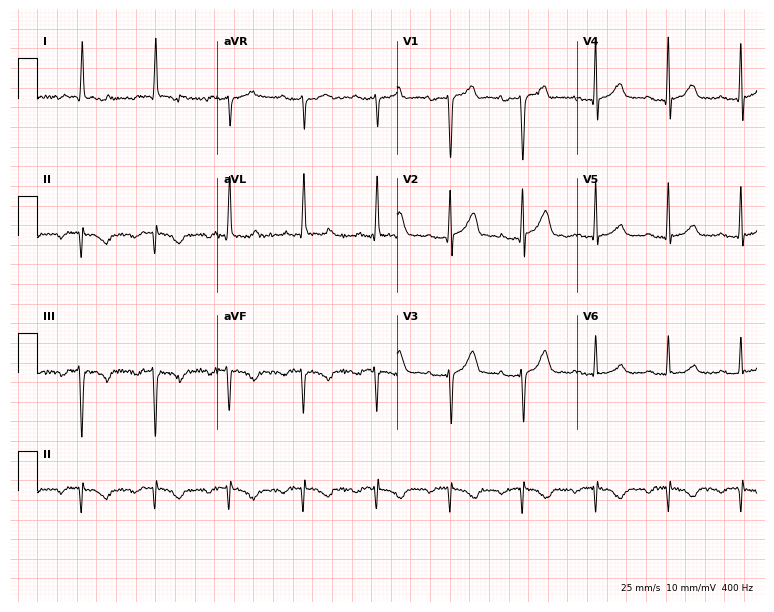
Resting 12-lead electrocardiogram (7.3-second recording at 400 Hz). Patient: a 78-year-old male. None of these six findings is recorded: first-degree AV block, right bundle branch block, left bundle branch block, sinus bradycardia, atrial fibrillation, sinus tachycardia.